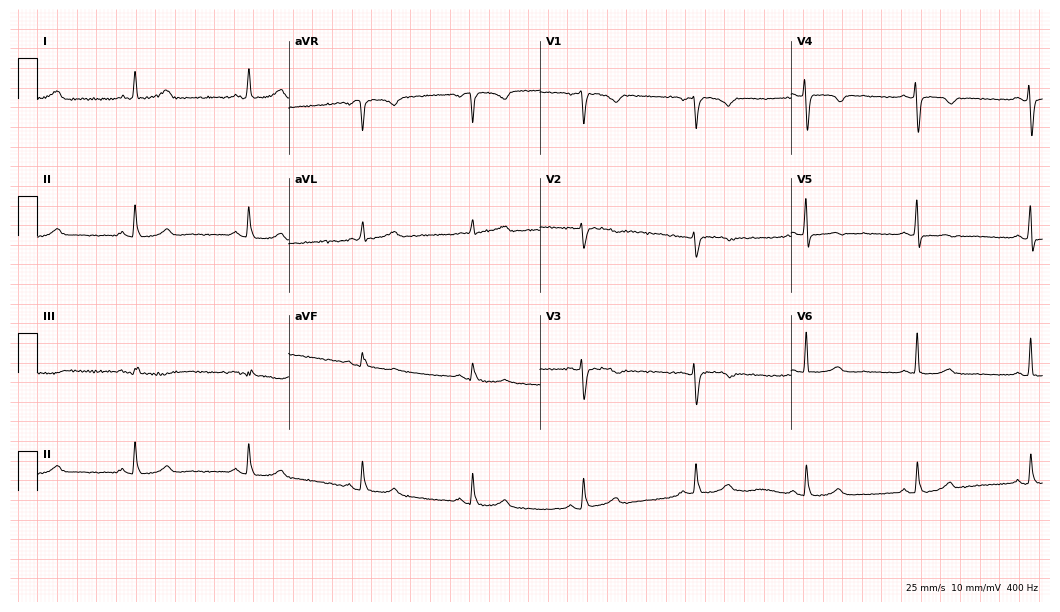
12-lead ECG from a 57-year-old woman. Recorded interpretation: within normal limits.